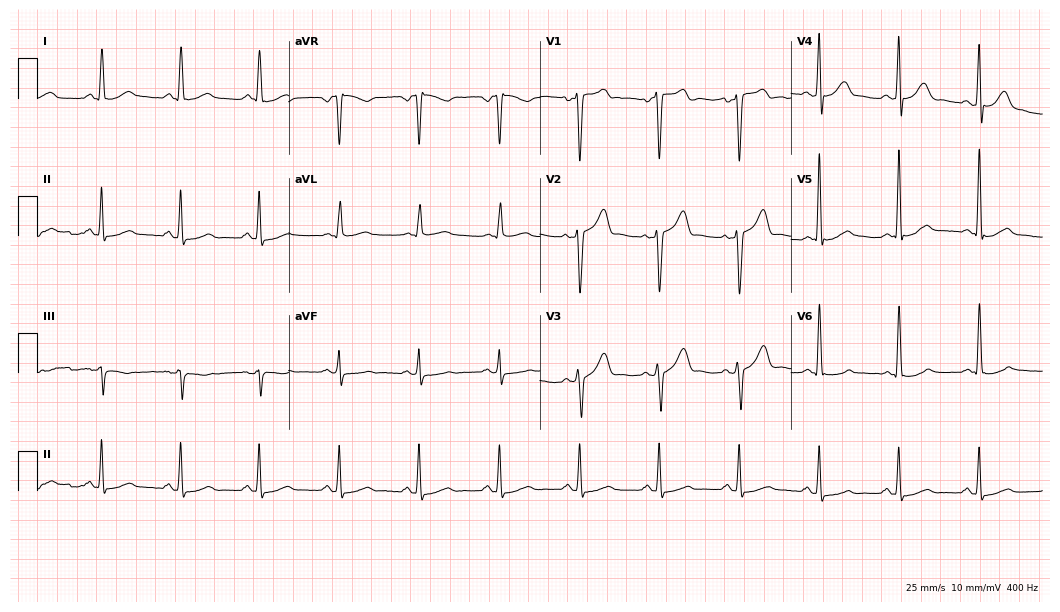
ECG (10.2-second recording at 400 Hz) — a 48-year-old male. Screened for six findings — first-degree AV block, right bundle branch block (RBBB), left bundle branch block (LBBB), sinus bradycardia, atrial fibrillation (AF), sinus tachycardia — none is recorded.